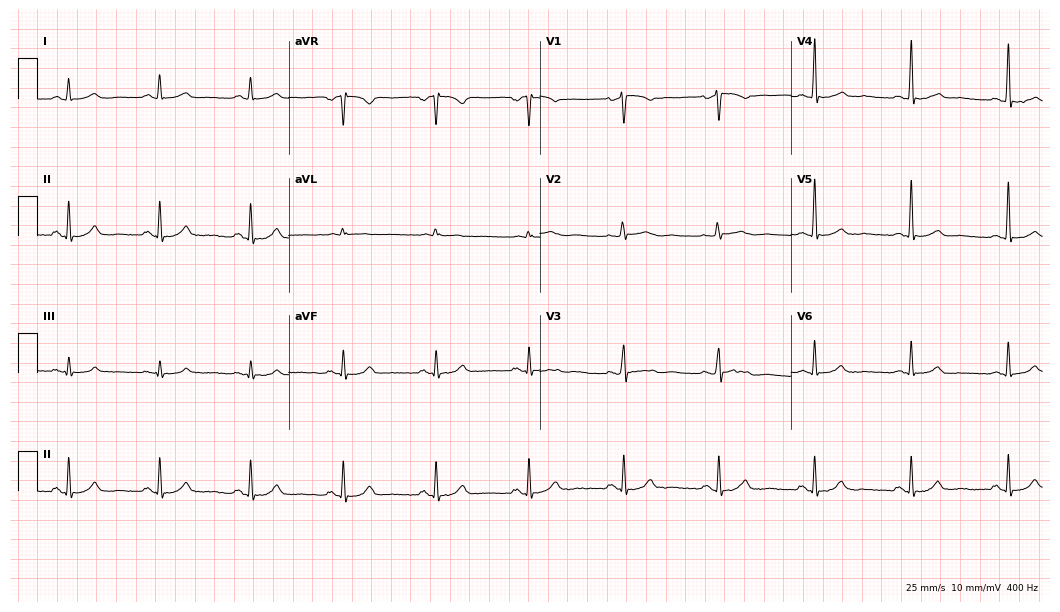
Resting 12-lead electrocardiogram (10.2-second recording at 400 Hz). Patient: a 60-year-old male. Read as a normal ECG.